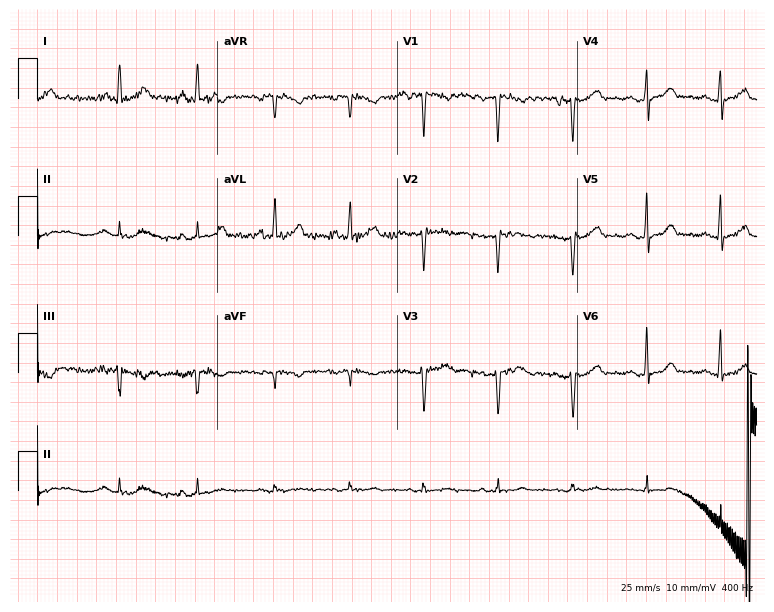
ECG — a woman, 32 years old. Screened for six findings — first-degree AV block, right bundle branch block (RBBB), left bundle branch block (LBBB), sinus bradycardia, atrial fibrillation (AF), sinus tachycardia — none is recorded.